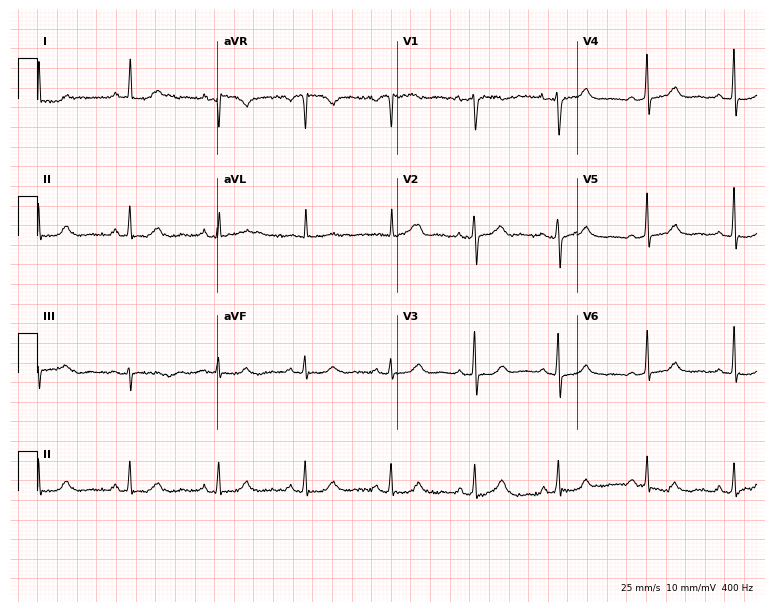
12-lead ECG from a woman, 51 years old (7.3-second recording at 400 Hz). Recorded interpretation: within normal limits.